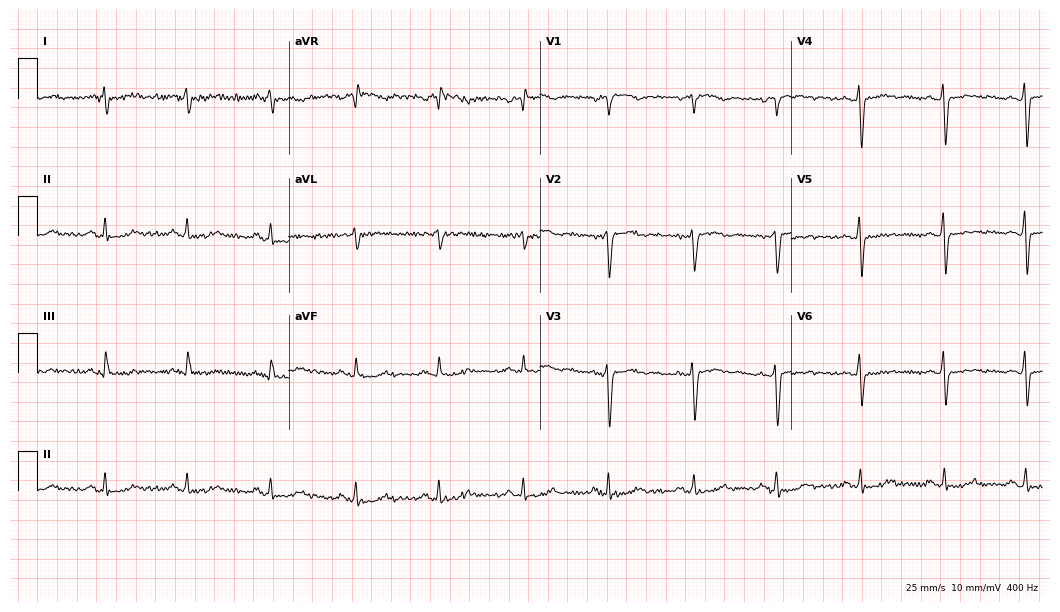
Standard 12-lead ECG recorded from a male patient, 47 years old (10.2-second recording at 400 Hz). None of these six findings is recorded: first-degree AV block, right bundle branch block, left bundle branch block, sinus bradycardia, atrial fibrillation, sinus tachycardia.